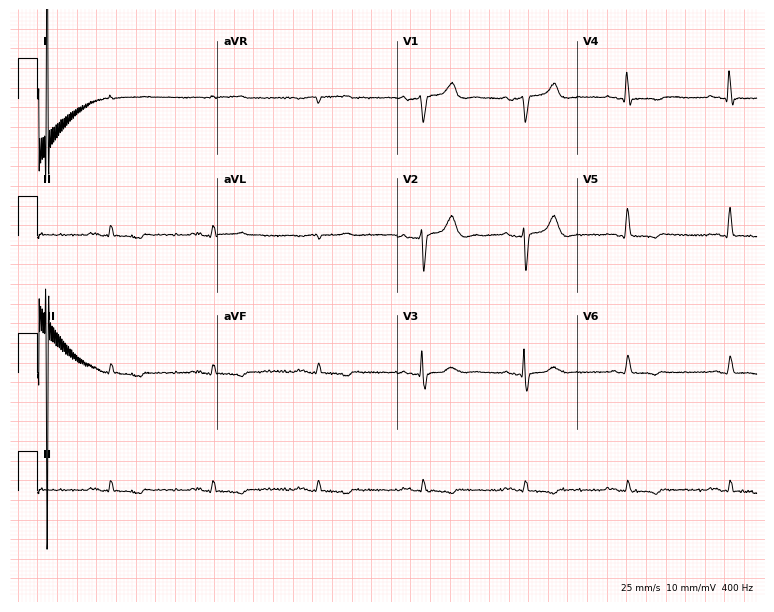
12-lead ECG from a male patient, 54 years old (7.3-second recording at 400 Hz). No first-degree AV block, right bundle branch block, left bundle branch block, sinus bradycardia, atrial fibrillation or sinus tachycardia recorded for this tracing. Findings outside these six are not listed.